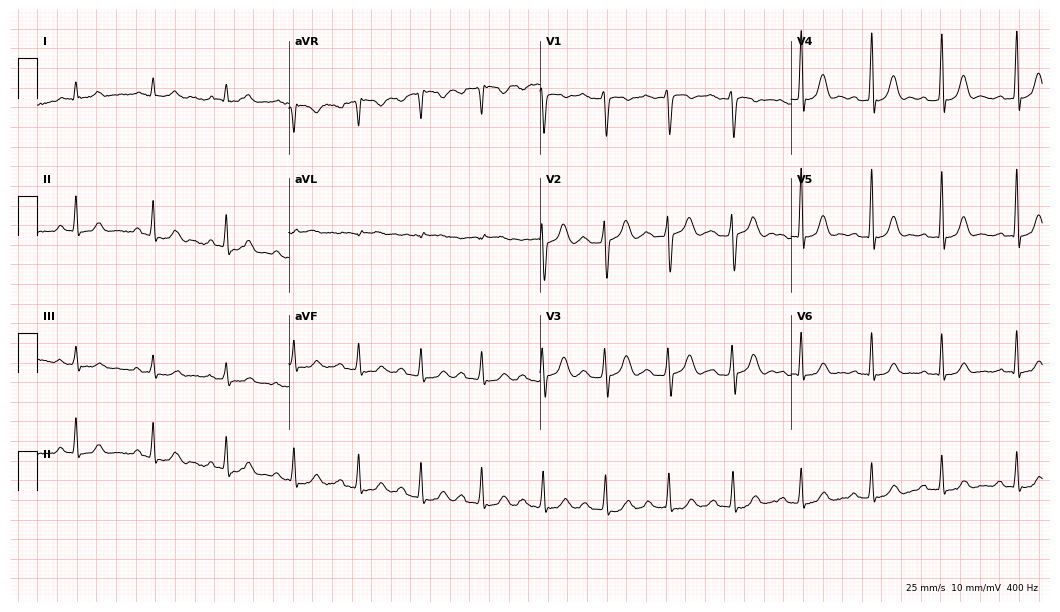
Electrocardiogram (10.2-second recording at 400 Hz), a female patient, 33 years old. Of the six screened findings (first-degree AV block, right bundle branch block, left bundle branch block, sinus bradycardia, atrial fibrillation, sinus tachycardia), none is recorded.